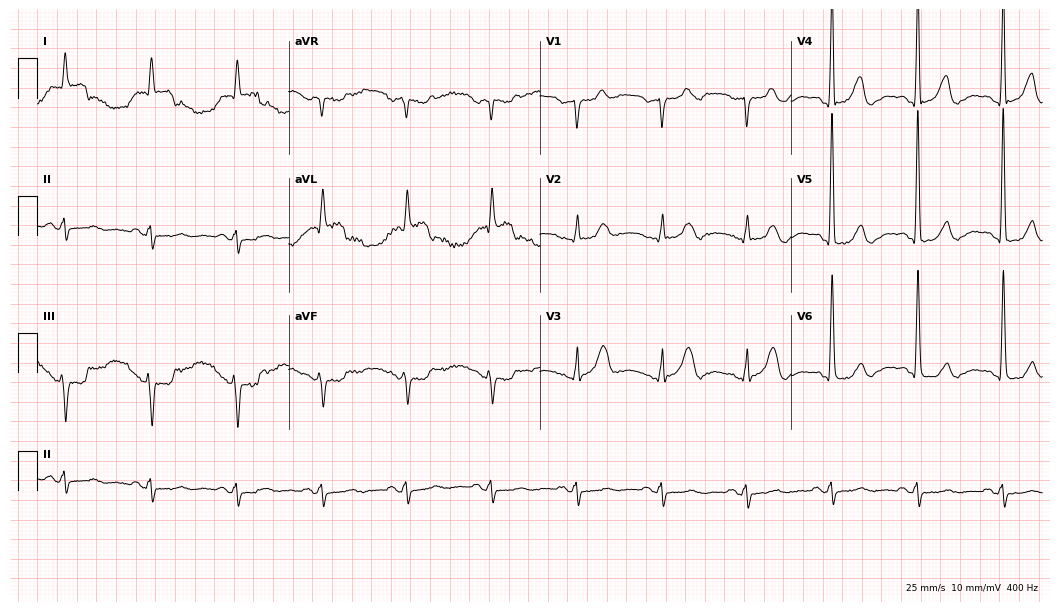
ECG (10.2-second recording at 400 Hz) — a male patient, 84 years old. Screened for six findings — first-degree AV block, right bundle branch block (RBBB), left bundle branch block (LBBB), sinus bradycardia, atrial fibrillation (AF), sinus tachycardia — none is recorded.